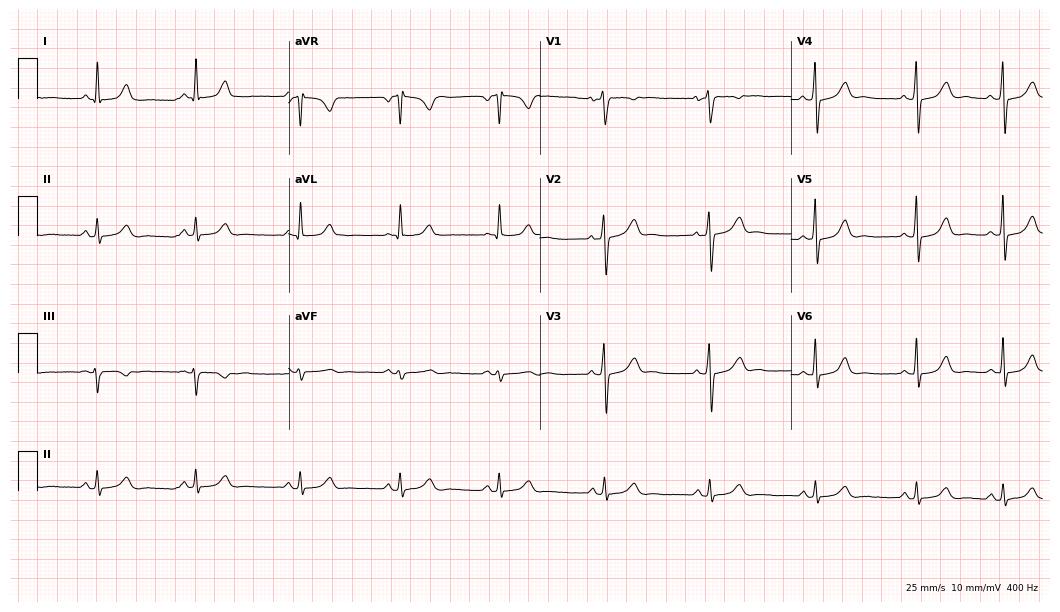
12-lead ECG from a 37-year-old woman. Recorded interpretation: within normal limits.